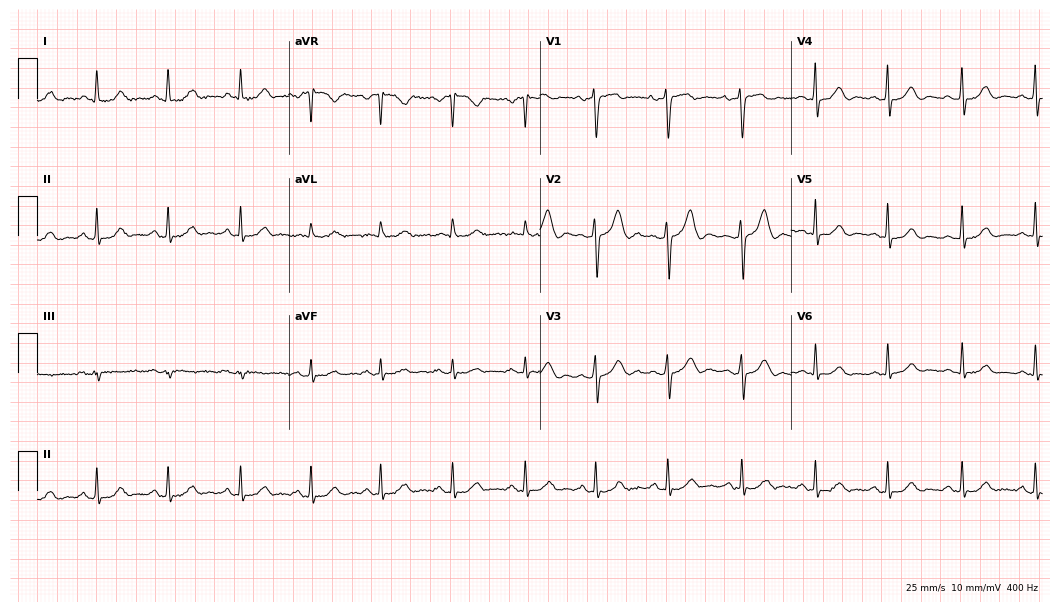
Standard 12-lead ECG recorded from a 58-year-old male patient. Read as a normal ECG.